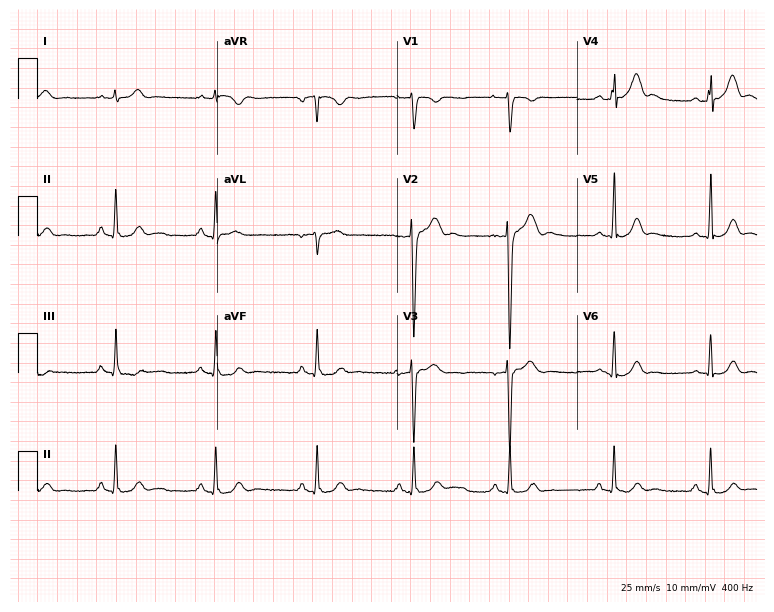
Resting 12-lead electrocardiogram (7.3-second recording at 400 Hz). Patient: a 30-year-old man. None of these six findings is recorded: first-degree AV block, right bundle branch block, left bundle branch block, sinus bradycardia, atrial fibrillation, sinus tachycardia.